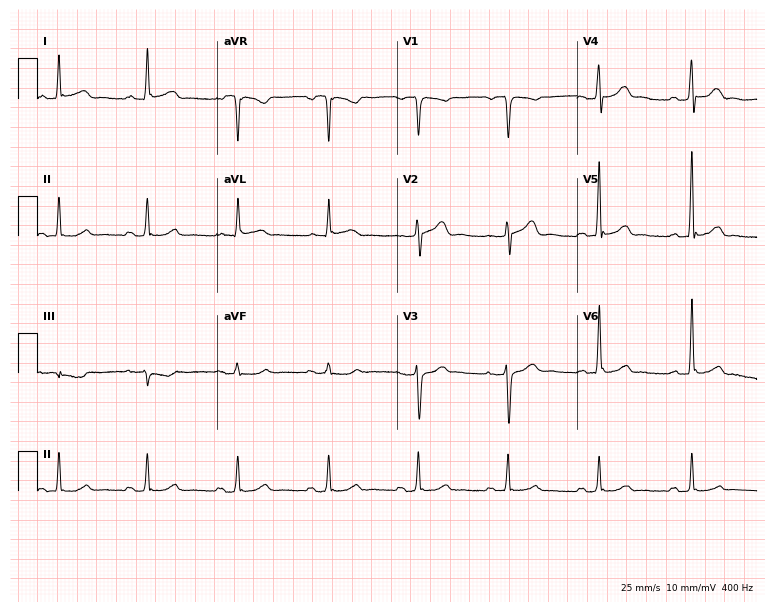
Resting 12-lead electrocardiogram. Patient: a 46-year-old male. Read as a normal ECG.